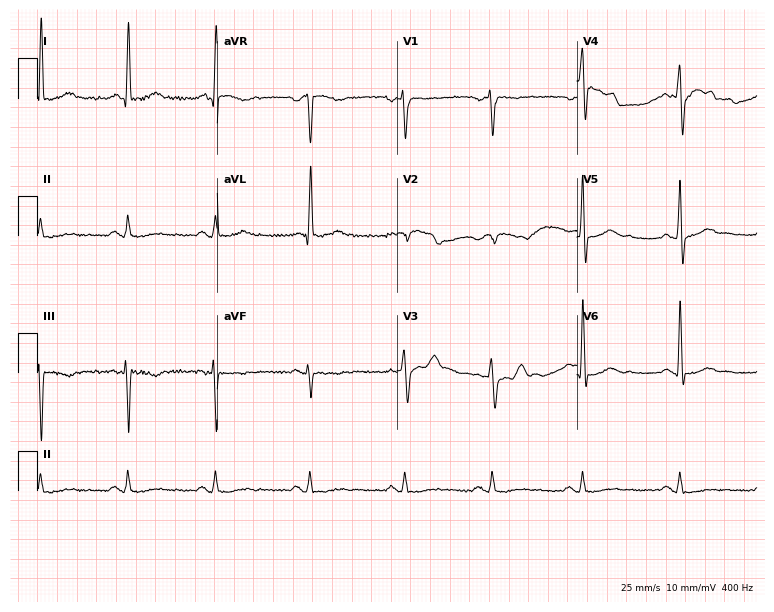
Electrocardiogram, a male, 51 years old. Of the six screened findings (first-degree AV block, right bundle branch block, left bundle branch block, sinus bradycardia, atrial fibrillation, sinus tachycardia), none is recorded. Only these six findings were labelled.